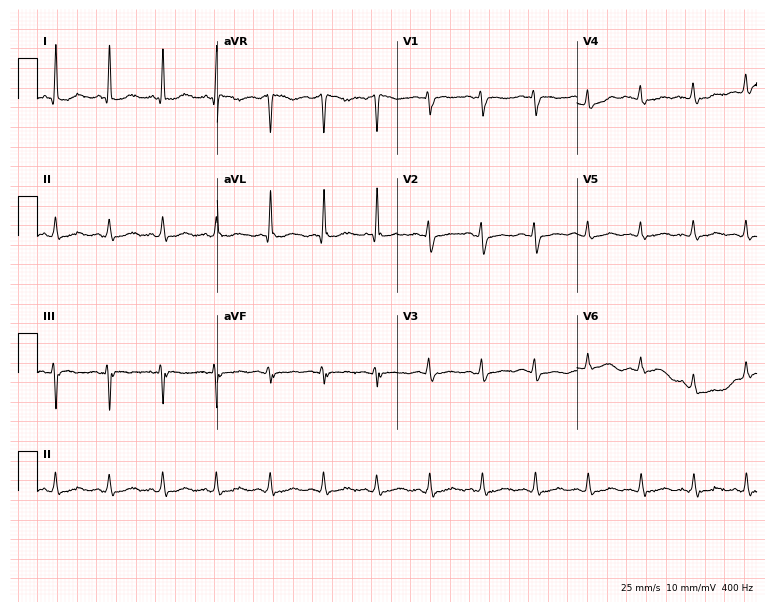
Standard 12-lead ECG recorded from a male, 31 years old (7.3-second recording at 400 Hz). The tracing shows sinus tachycardia (a sinus rate of 100 beats per minute or more).